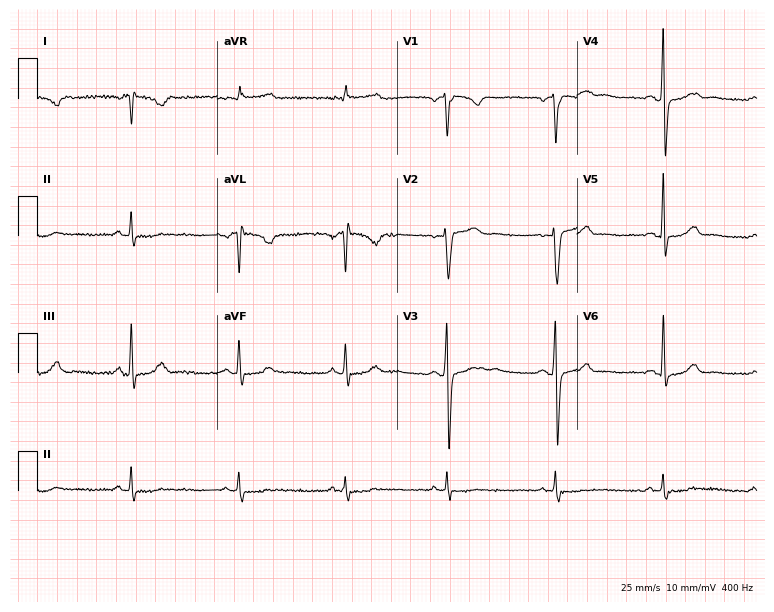
ECG (7.3-second recording at 400 Hz) — a female, 50 years old. Screened for six findings — first-degree AV block, right bundle branch block, left bundle branch block, sinus bradycardia, atrial fibrillation, sinus tachycardia — none is recorded. Other findings, if any, are not listed.